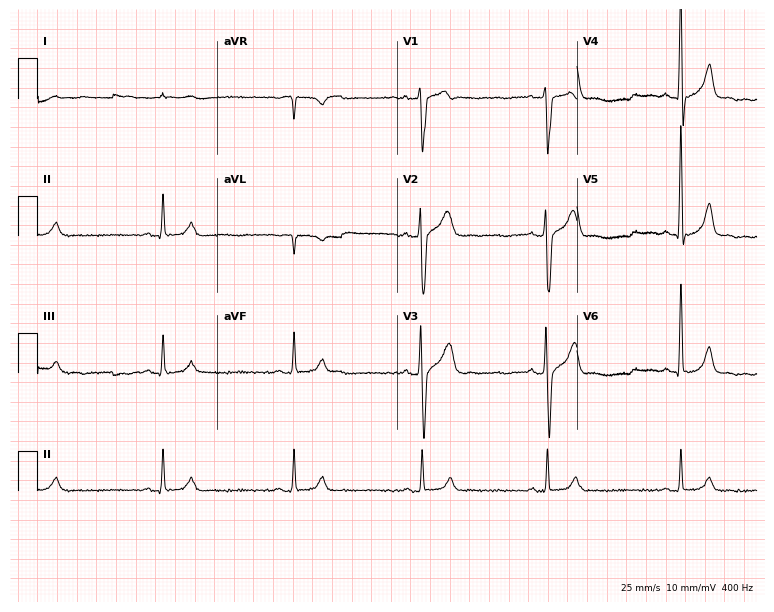
Standard 12-lead ECG recorded from a male, 44 years old (7.3-second recording at 400 Hz). None of these six findings is recorded: first-degree AV block, right bundle branch block, left bundle branch block, sinus bradycardia, atrial fibrillation, sinus tachycardia.